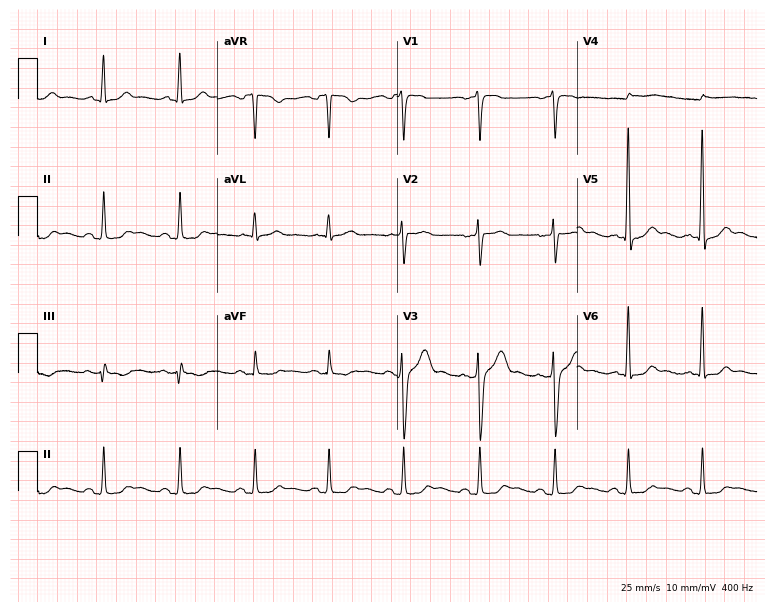
Standard 12-lead ECG recorded from a 44-year-old male (7.3-second recording at 400 Hz). Read as a normal ECG.